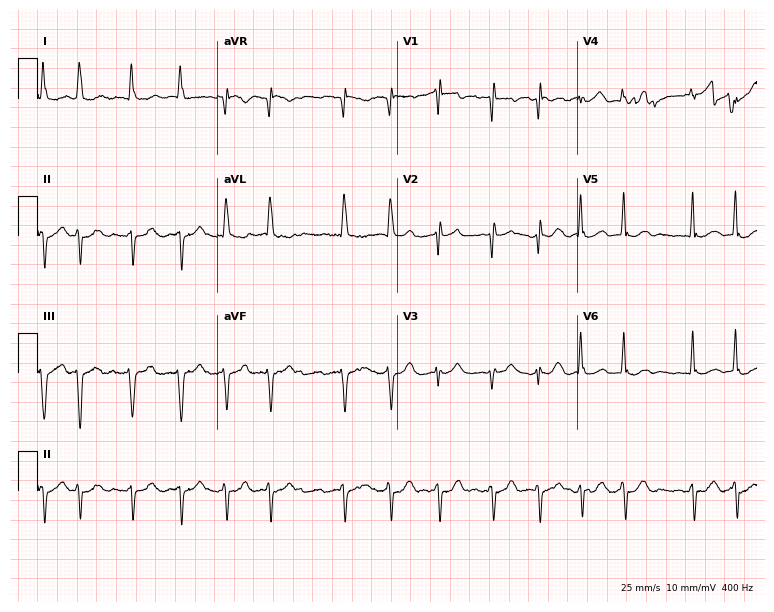
Standard 12-lead ECG recorded from an 82-year-old female patient. The tracing shows atrial fibrillation, sinus tachycardia (a sinus rate of 100 beats per minute or more).